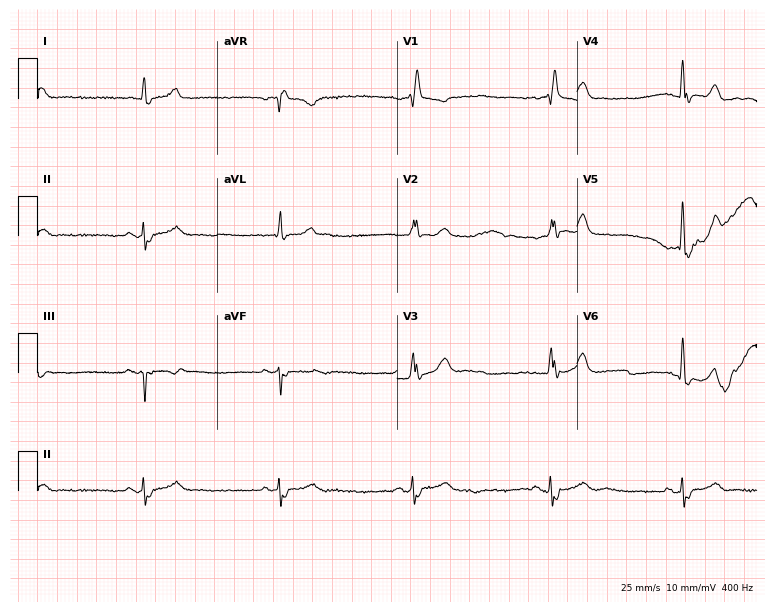
Standard 12-lead ECG recorded from a 77-year-old man (7.3-second recording at 400 Hz). The tracing shows right bundle branch block.